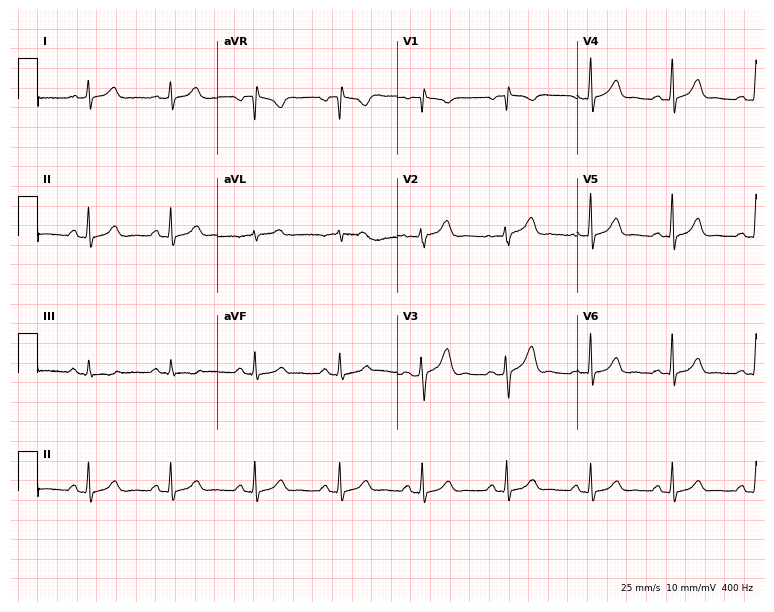
Electrocardiogram (7.3-second recording at 400 Hz), a 37-year-old female. Overall reading on record: normal ECG.